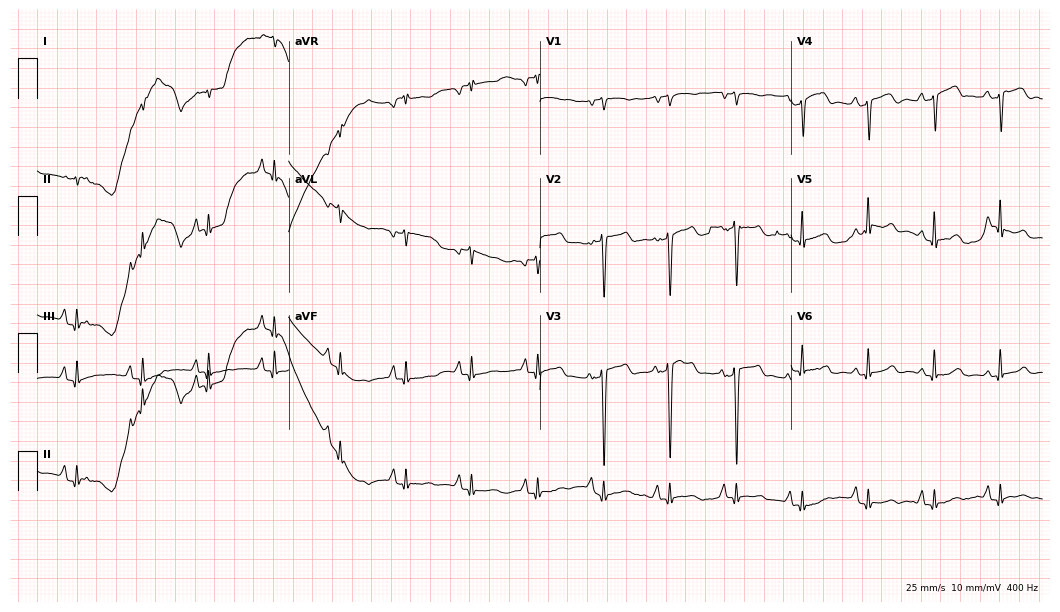
Standard 12-lead ECG recorded from a female, 77 years old. Read as a normal ECG.